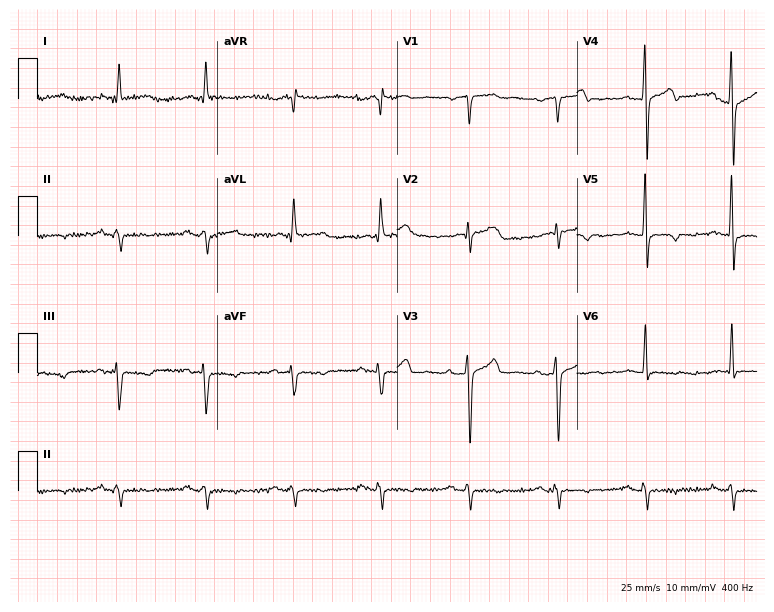
ECG (7.3-second recording at 400 Hz) — a man, 64 years old. Screened for six findings — first-degree AV block, right bundle branch block, left bundle branch block, sinus bradycardia, atrial fibrillation, sinus tachycardia — none is recorded.